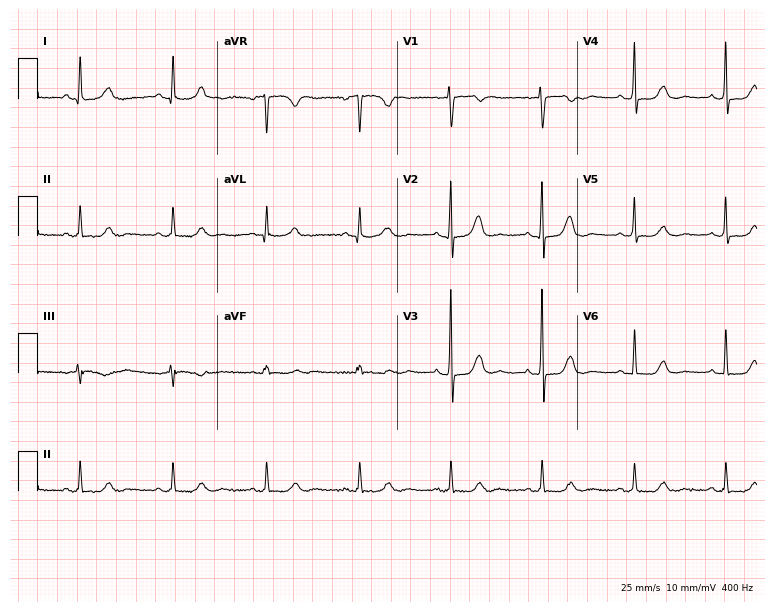
Standard 12-lead ECG recorded from a 56-year-old female patient (7.3-second recording at 400 Hz). Read as a normal ECG.